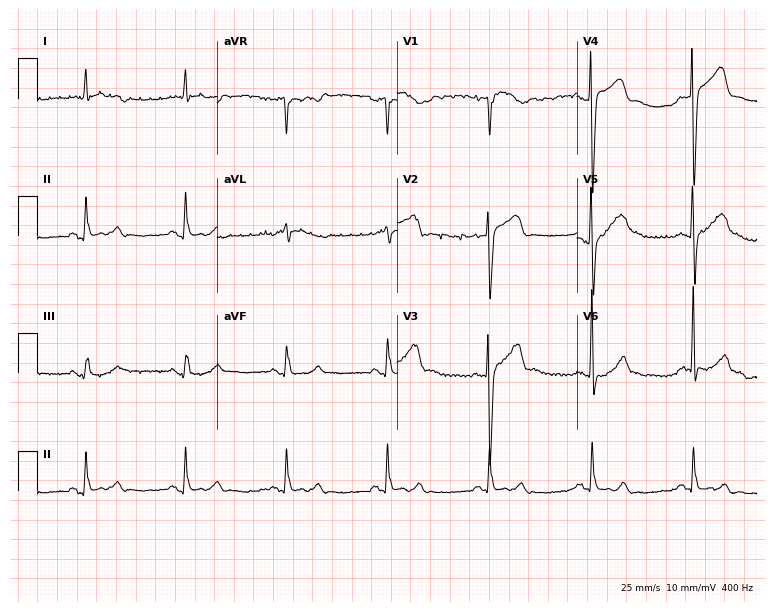
12-lead ECG from a 76-year-old male. Recorded interpretation: within normal limits.